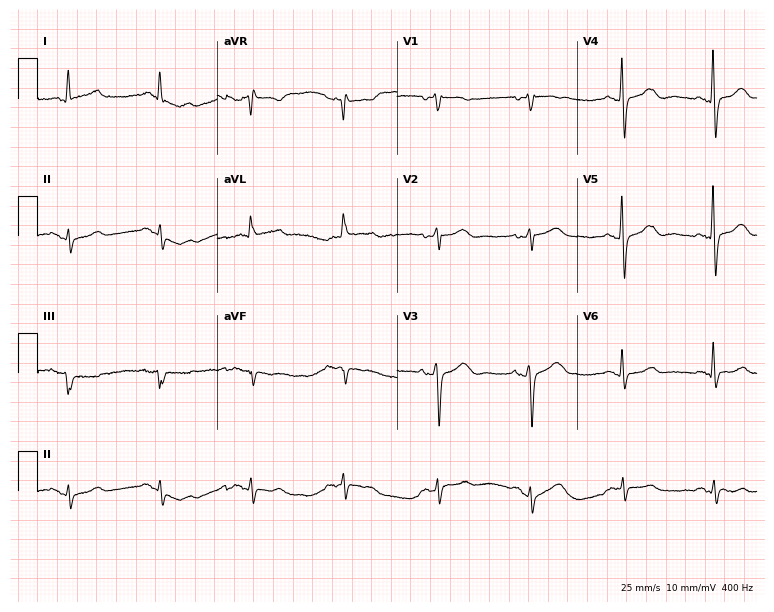
Standard 12-lead ECG recorded from a 73-year-old male patient (7.3-second recording at 400 Hz). None of these six findings is recorded: first-degree AV block, right bundle branch block (RBBB), left bundle branch block (LBBB), sinus bradycardia, atrial fibrillation (AF), sinus tachycardia.